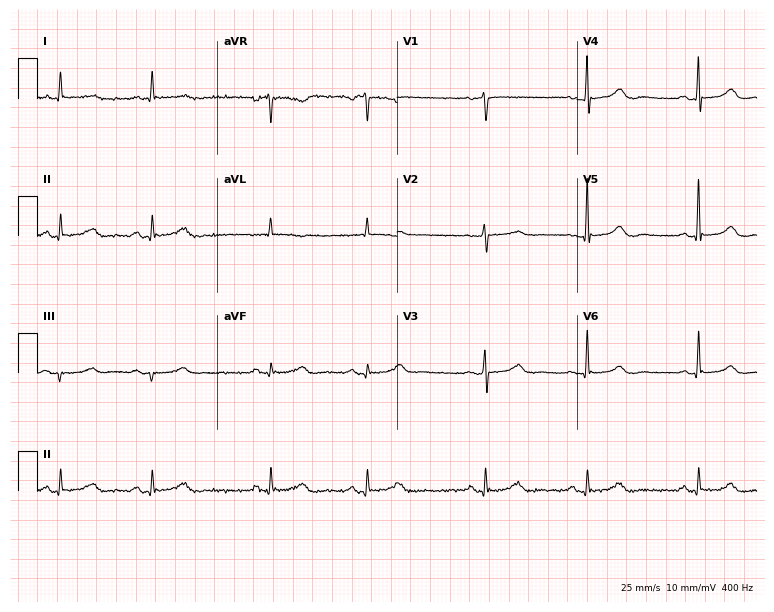
12-lead ECG from a woman, 53 years old. No first-degree AV block, right bundle branch block, left bundle branch block, sinus bradycardia, atrial fibrillation or sinus tachycardia recorded for this tracing.